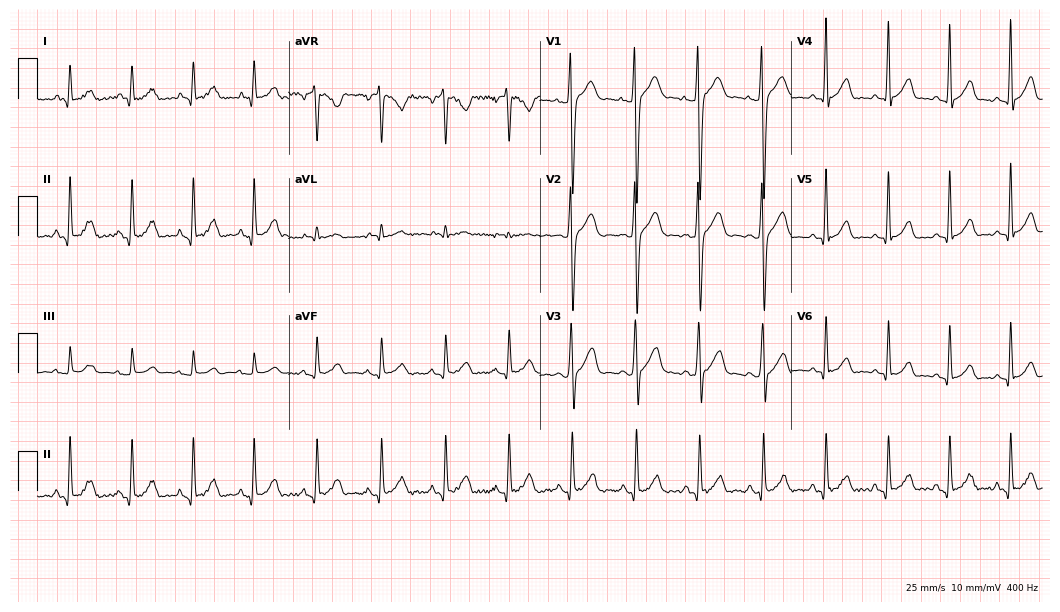
Resting 12-lead electrocardiogram. Patient: a man, 23 years old. Read as a normal ECG.